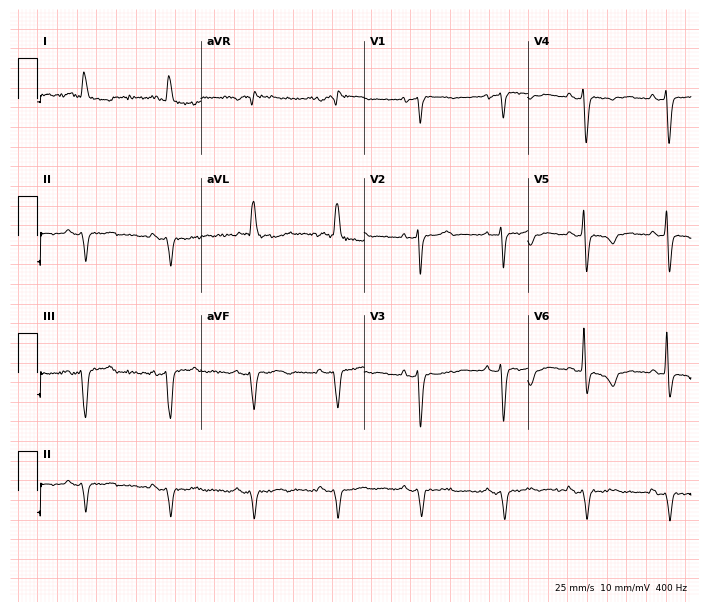
Resting 12-lead electrocardiogram. Patient: an 81-year-old woman. None of these six findings is recorded: first-degree AV block, right bundle branch block, left bundle branch block, sinus bradycardia, atrial fibrillation, sinus tachycardia.